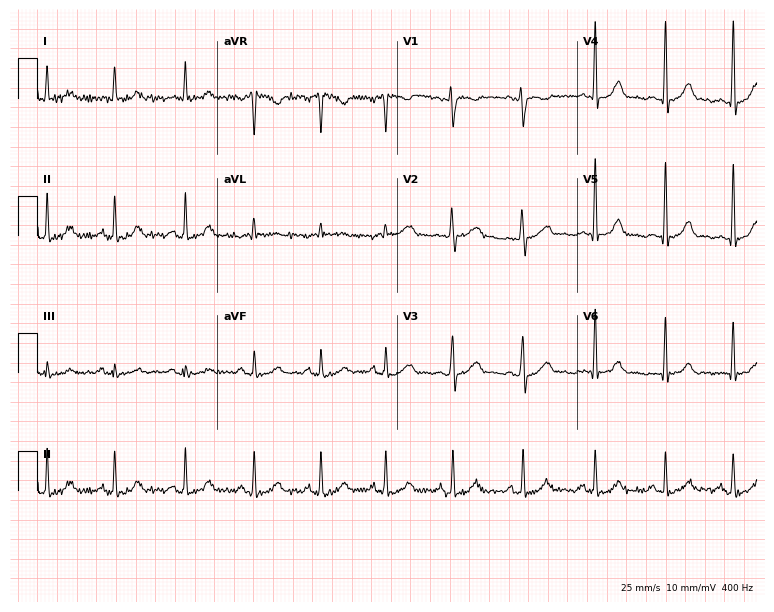
Resting 12-lead electrocardiogram (7.3-second recording at 400 Hz). Patient: a 35-year-old woman. Read as a normal ECG.